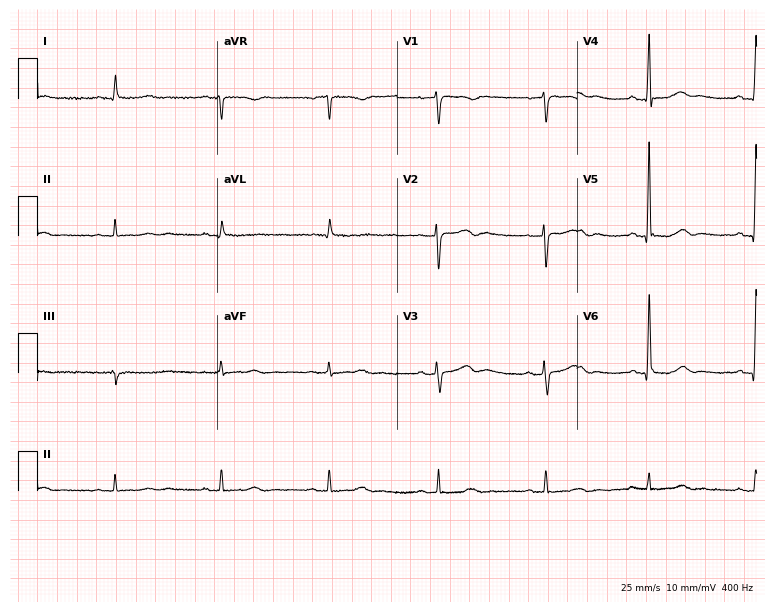
Standard 12-lead ECG recorded from a 64-year-old female patient. None of these six findings is recorded: first-degree AV block, right bundle branch block, left bundle branch block, sinus bradycardia, atrial fibrillation, sinus tachycardia.